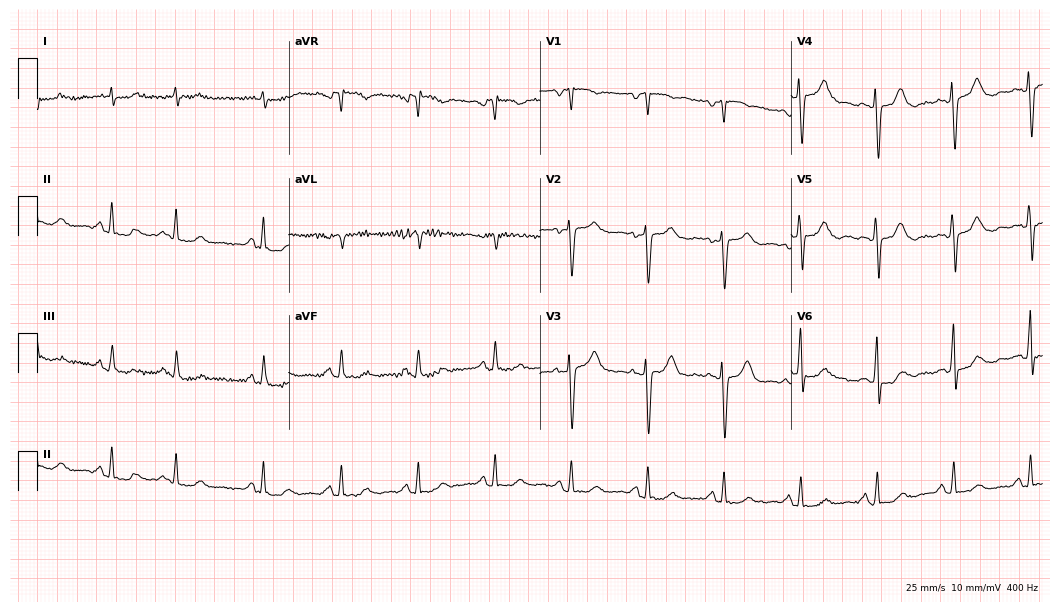
Resting 12-lead electrocardiogram. Patient: a 62-year-old male. Read as a normal ECG.